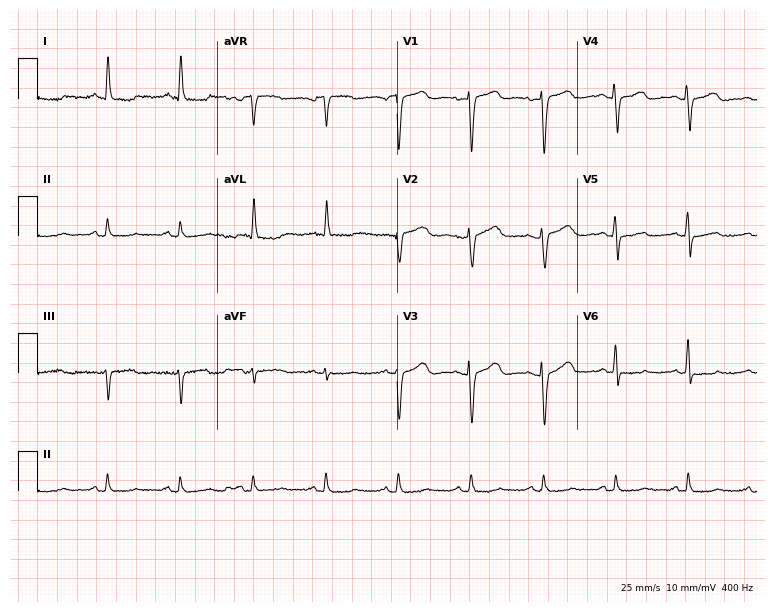
Standard 12-lead ECG recorded from a female patient, 74 years old (7.3-second recording at 400 Hz). None of these six findings is recorded: first-degree AV block, right bundle branch block, left bundle branch block, sinus bradycardia, atrial fibrillation, sinus tachycardia.